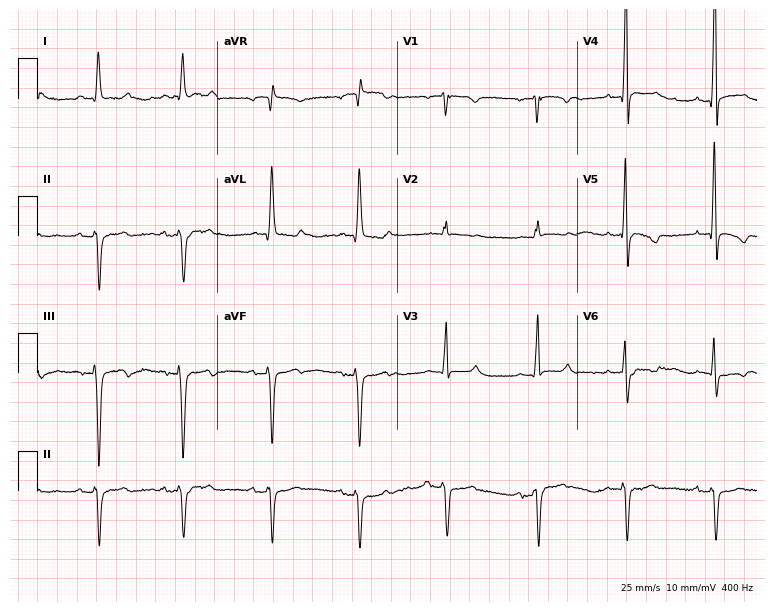
Resting 12-lead electrocardiogram. Patient: a 75-year-old male. None of these six findings is recorded: first-degree AV block, right bundle branch block (RBBB), left bundle branch block (LBBB), sinus bradycardia, atrial fibrillation (AF), sinus tachycardia.